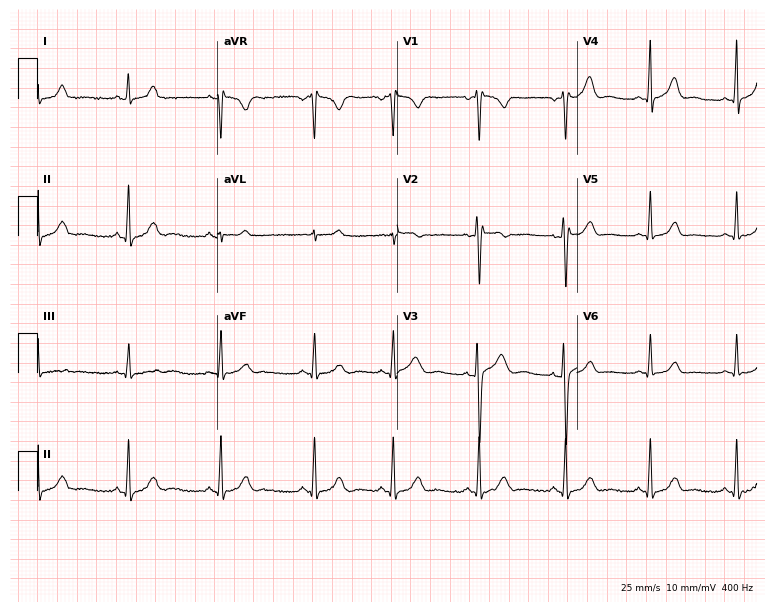
Resting 12-lead electrocardiogram. Patient: a 31-year-old female. Read as a normal ECG.